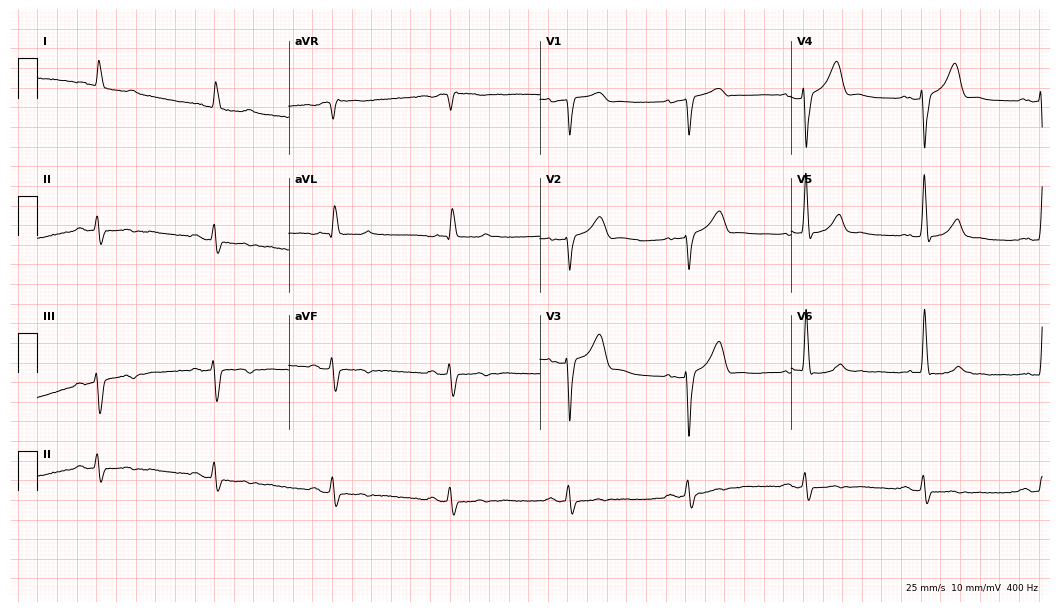
12-lead ECG from a 75-year-old male. Shows sinus bradycardia (a sinus rate of 50 beats per minute or less).